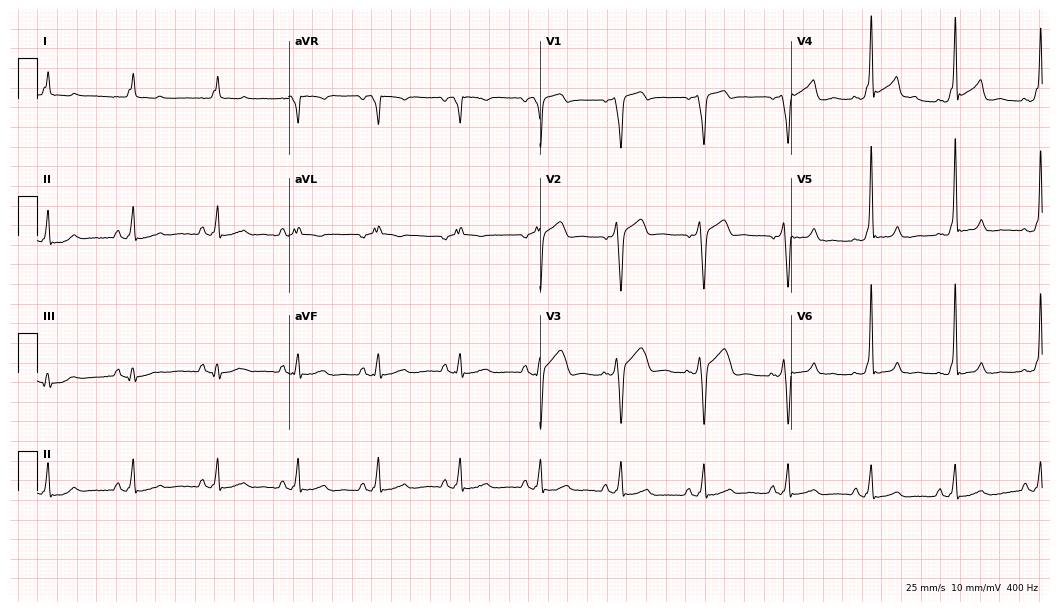
12-lead ECG from a 58-year-old male patient (10.2-second recording at 400 Hz). No first-degree AV block, right bundle branch block, left bundle branch block, sinus bradycardia, atrial fibrillation or sinus tachycardia recorded for this tracing. Other findings, if any, are not listed.